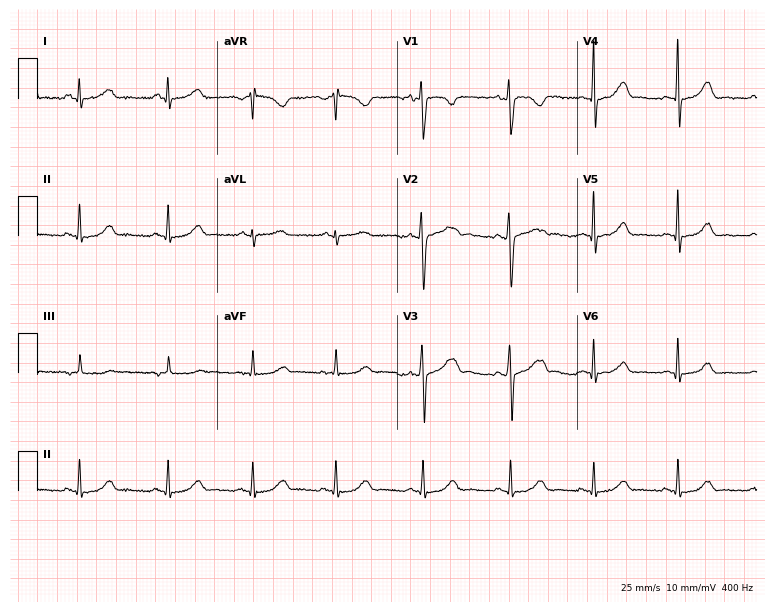
12-lead ECG from a 32-year-old female patient (7.3-second recording at 400 Hz). No first-degree AV block, right bundle branch block, left bundle branch block, sinus bradycardia, atrial fibrillation or sinus tachycardia recorded for this tracing. Only these six findings were labelled.